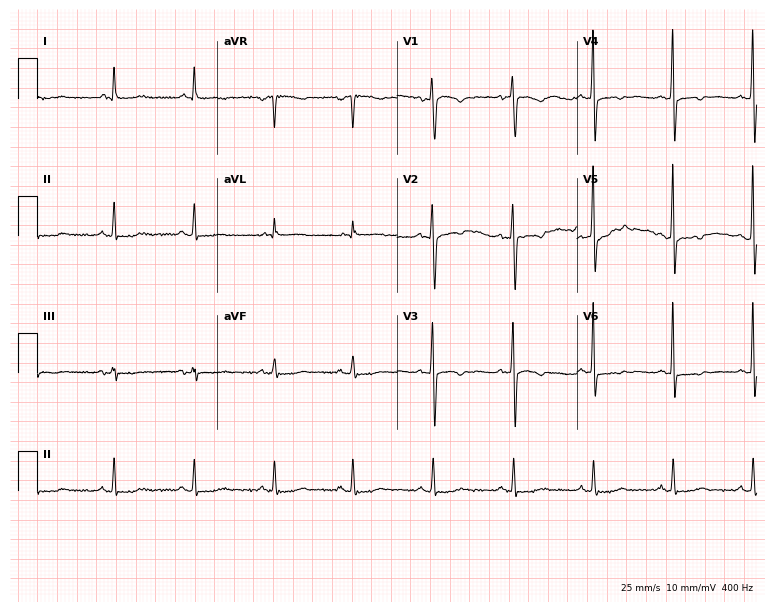
12-lead ECG from a 68-year-old female patient (7.3-second recording at 400 Hz). No first-degree AV block, right bundle branch block (RBBB), left bundle branch block (LBBB), sinus bradycardia, atrial fibrillation (AF) or sinus tachycardia recorded for this tracing. Other findings, if any, are not listed.